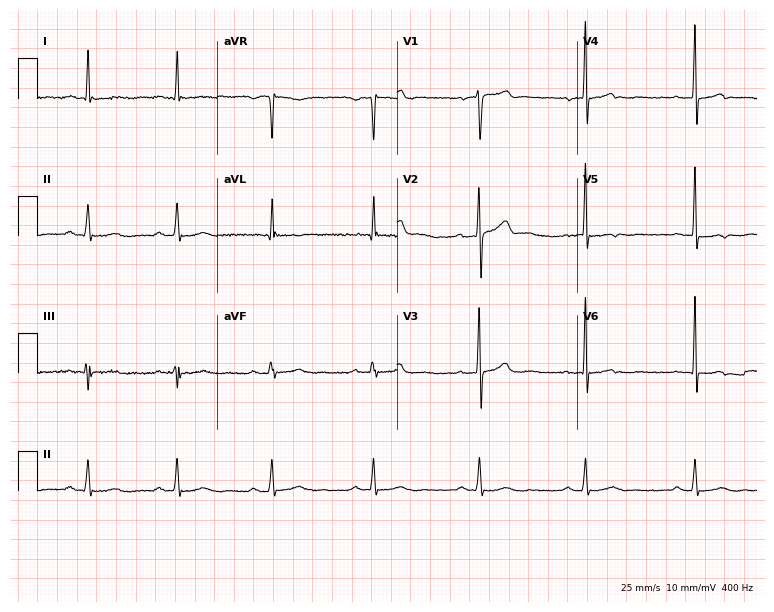
12-lead ECG from a 58-year-old male (7.3-second recording at 400 Hz). No first-degree AV block, right bundle branch block (RBBB), left bundle branch block (LBBB), sinus bradycardia, atrial fibrillation (AF) or sinus tachycardia recorded for this tracing. Findings outside these six are not listed.